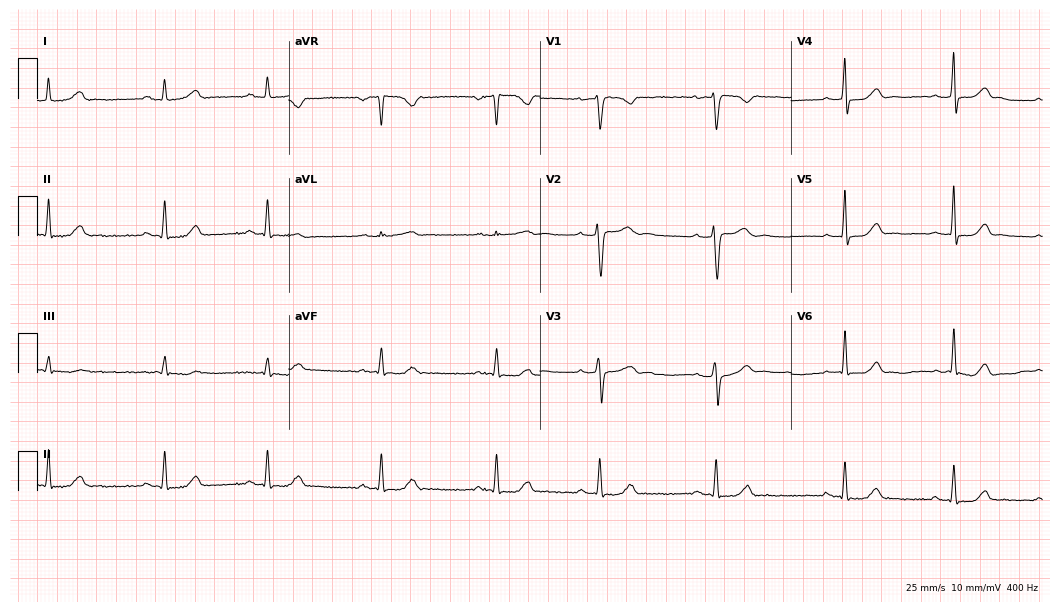
12-lead ECG from a 42-year-old female. Screened for six findings — first-degree AV block, right bundle branch block, left bundle branch block, sinus bradycardia, atrial fibrillation, sinus tachycardia — none is recorded.